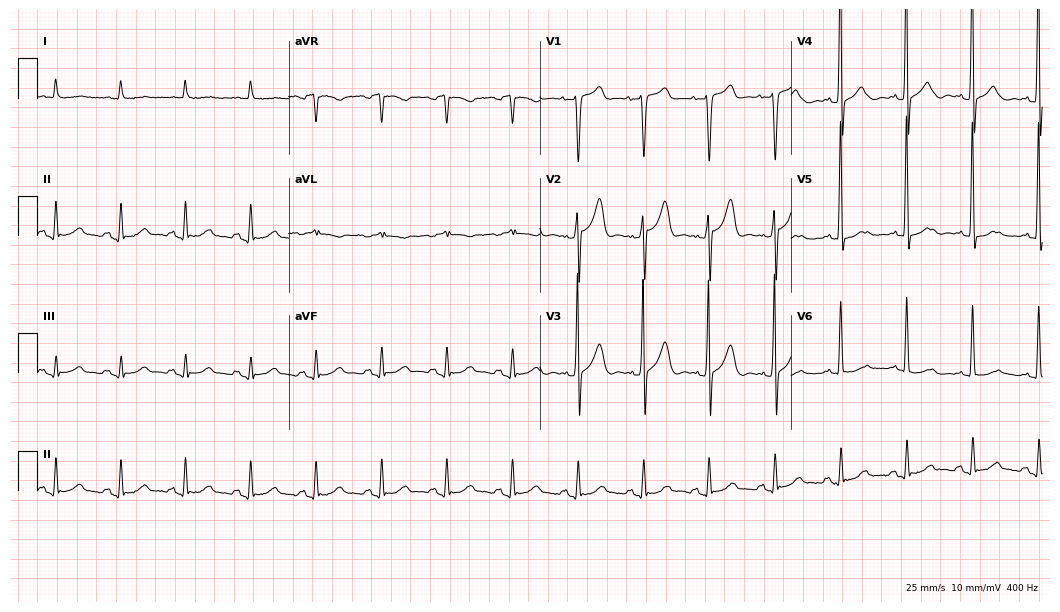
ECG — a 74-year-old male patient. Screened for six findings — first-degree AV block, right bundle branch block, left bundle branch block, sinus bradycardia, atrial fibrillation, sinus tachycardia — none is recorded.